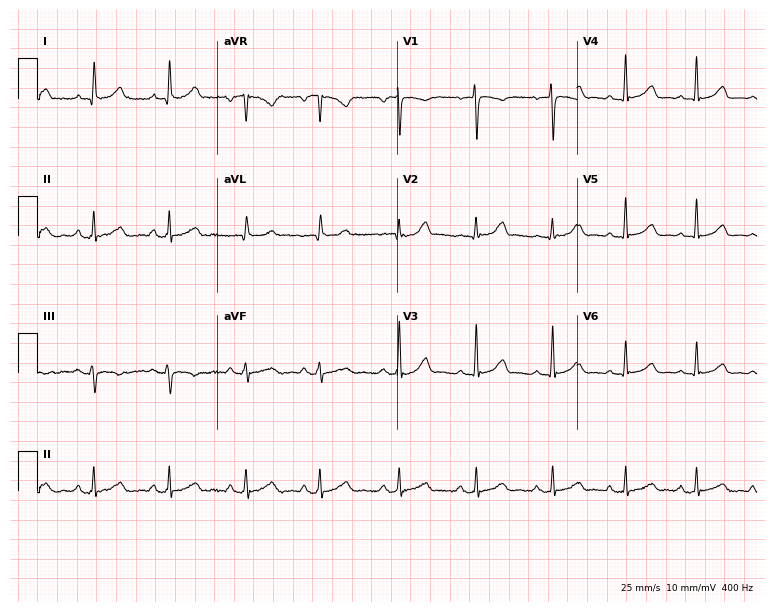
12-lead ECG from a 58-year-old female. Recorded interpretation: within normal limits.